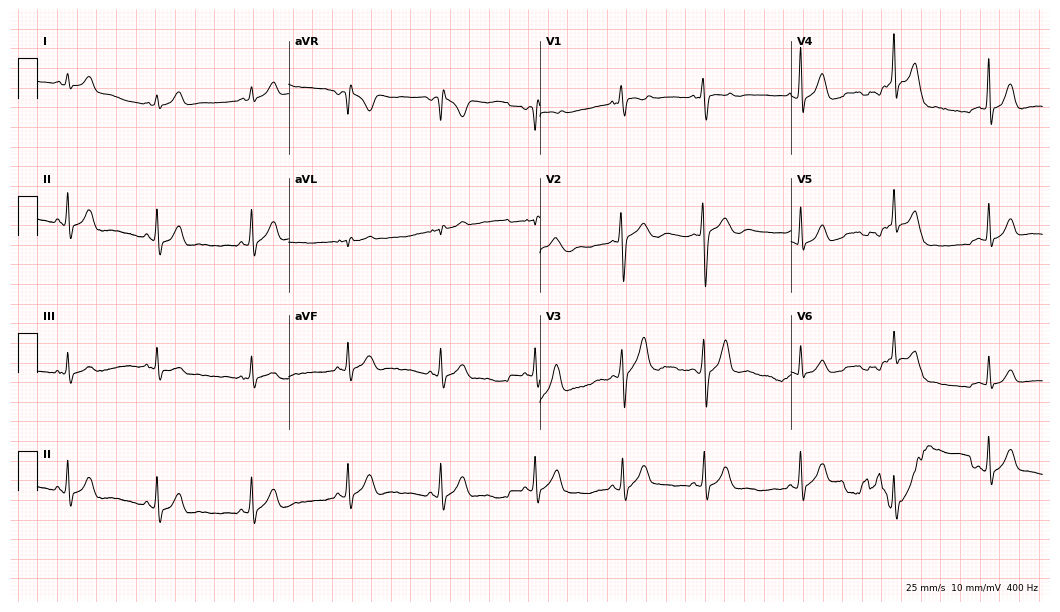
Resting 12-lead electrocardiogram. Patient: an 18-year-old man. Read as a normal ECG.